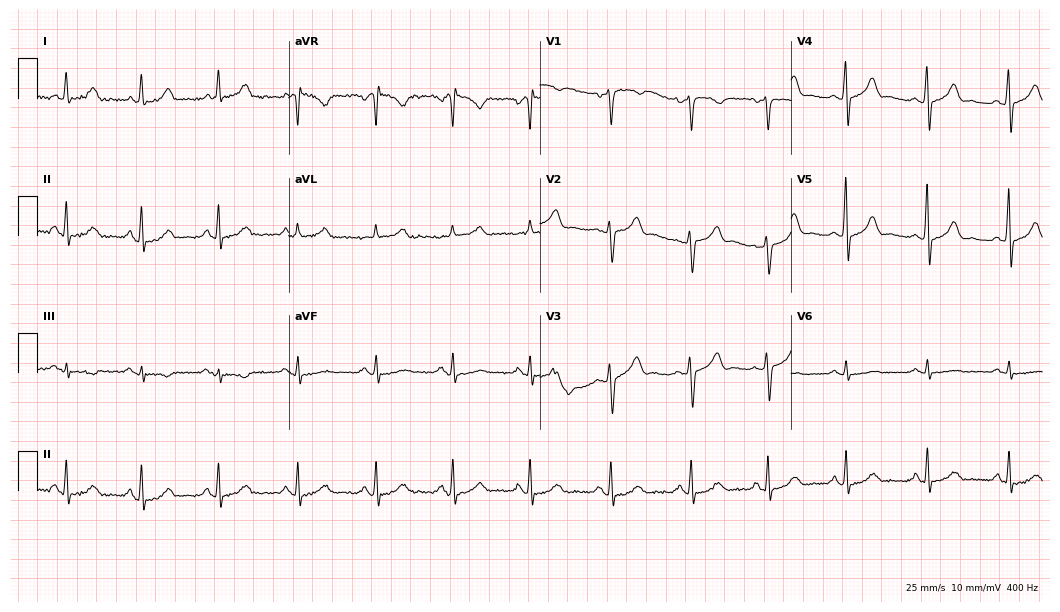
12-lead ECG from a 63-year-old female patient (10.2-second recording at 400 Hz). Recorded interpretation: within normal limits.